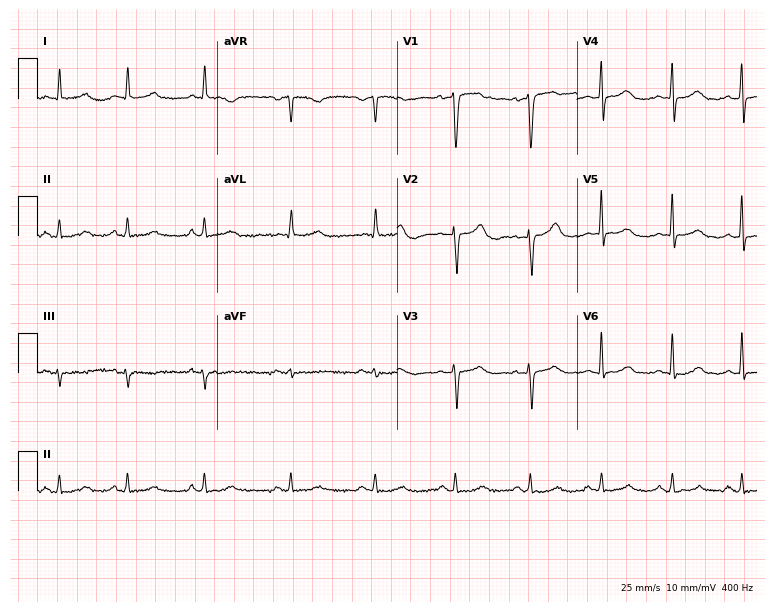
12-lead ECG from a man, 50 years old (7.3-second recording at 400 Hz). Recorded interpretation: within normal limits.